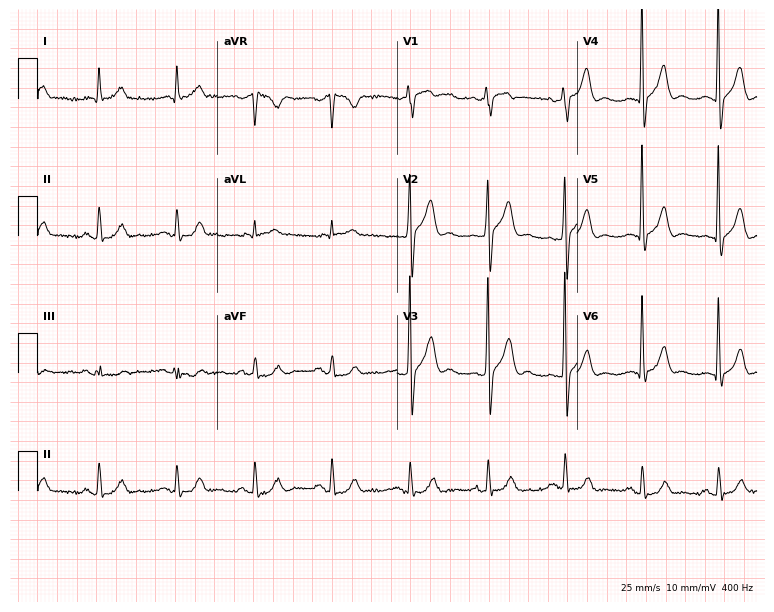
Electrocardiogram (7.3-second recording at 400 Hz), a 67-year-old man. Overall reading on record: normal ECG.